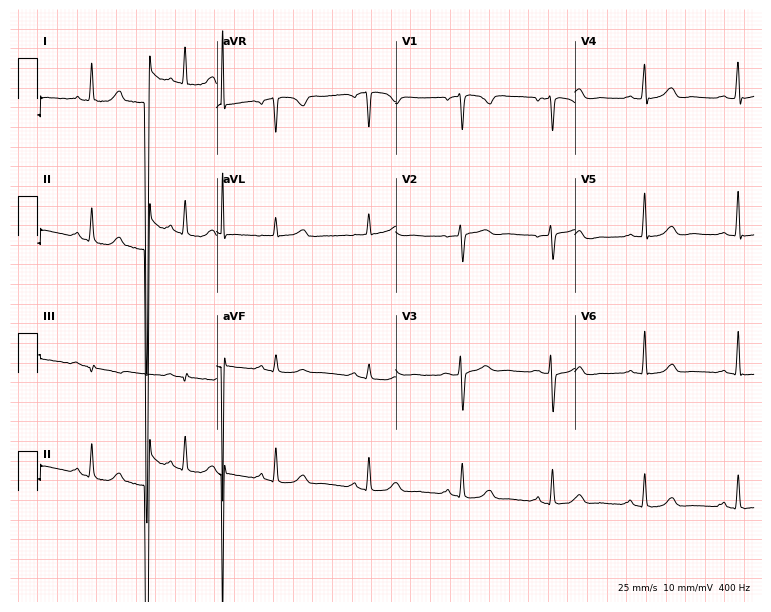
12-lead ECG (7.3-second recording at 400 Hz) from a 39-year-old female. Labelled as a normal ECG.